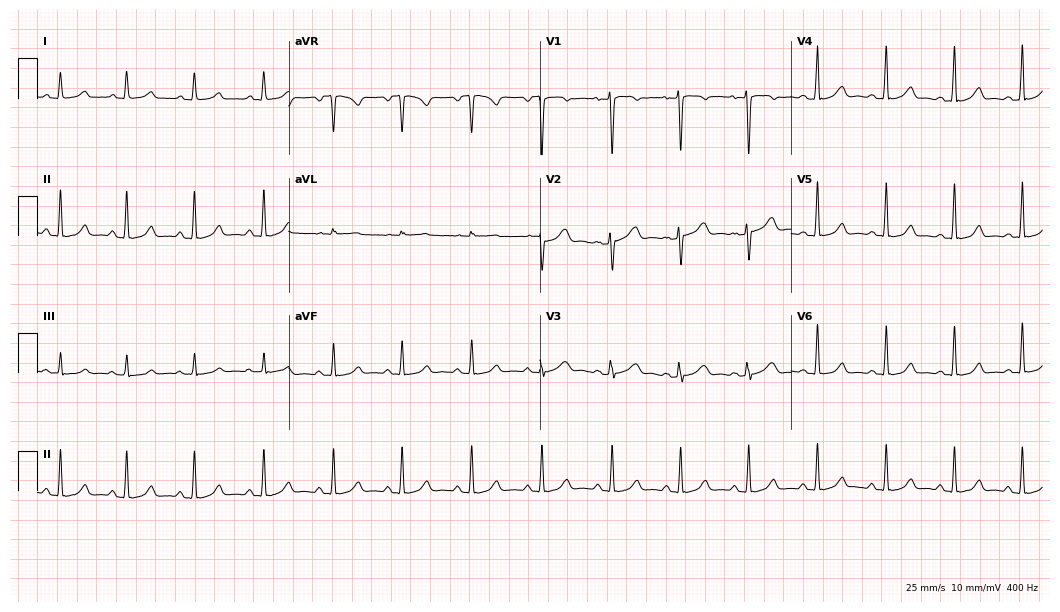
Resting 12-lead electrocardiogram (10.2-second recording at 400 Hz). Patient: a 33-year-old female. Read as a normal ECG.